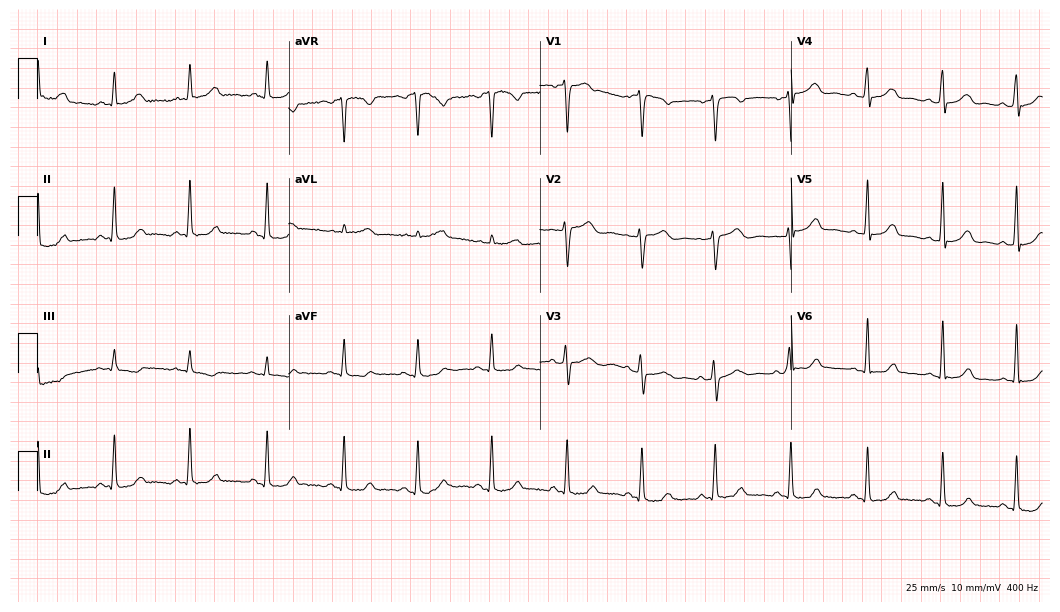
Standard 12-lead ECG recorded from a 39-year-old woman. Read as a normal ECG.